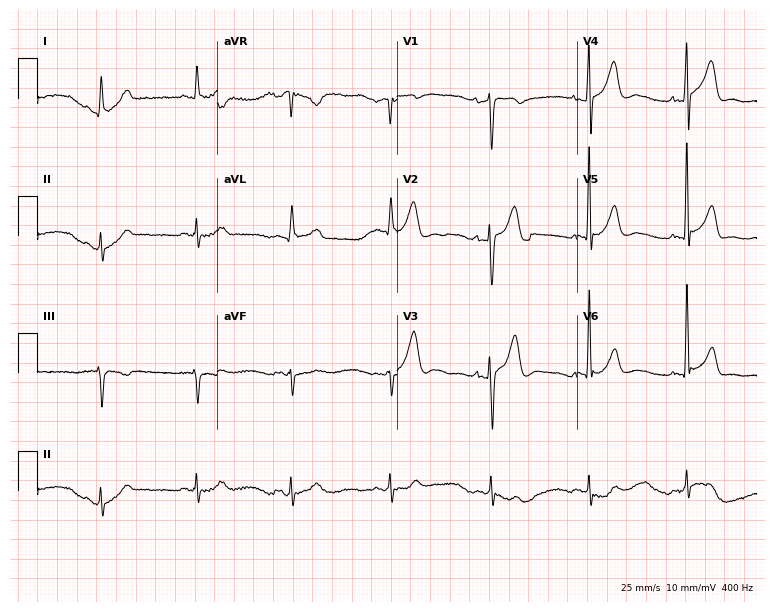
ECG (7.3-second recording at 400 Hz) — a 63-year-old male patient. Screened for six findings — first-degree AV block, right bundle branch block, left bundle branch block, sinus bradycardia, atrial fibrillation, sinus tachycardia — none is recorded.